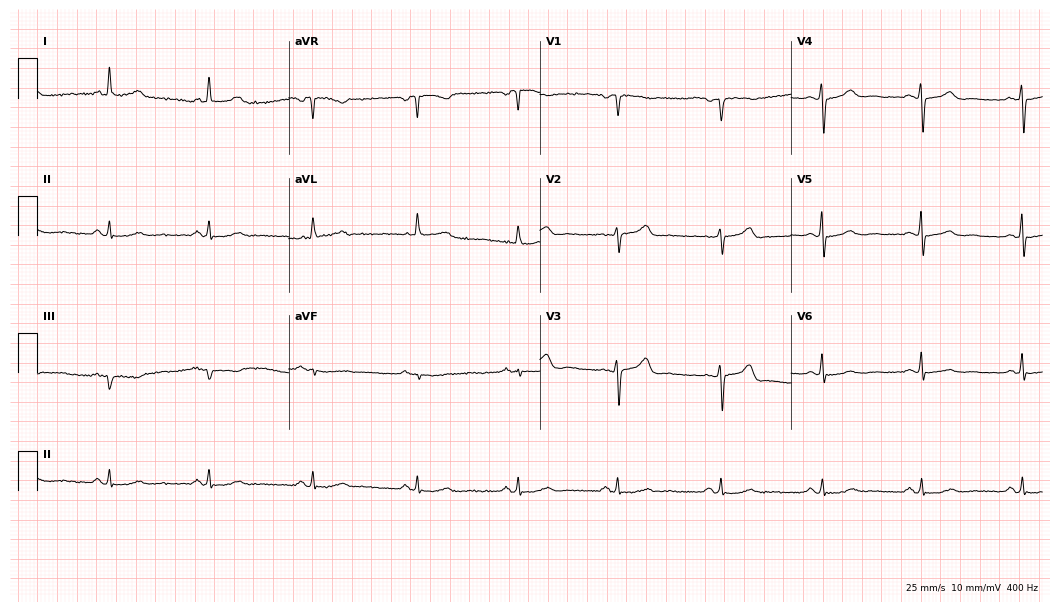
Standard 12-lead ECG recorded from a 65-year-old female patient (10.2-second recording at 400 Hz). Read as a normal ECG.